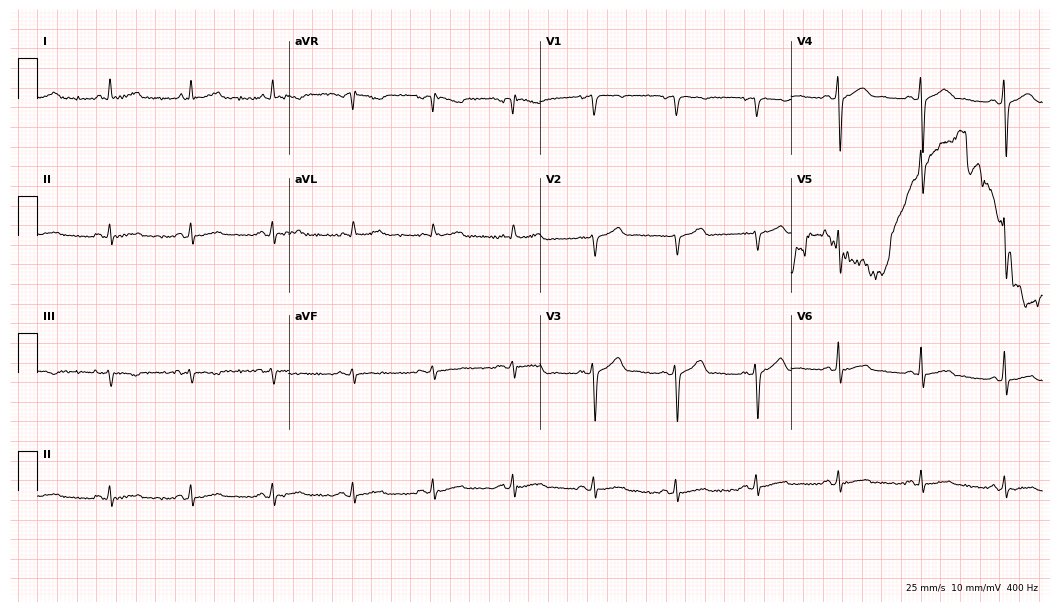
12-lead ECG from a 60-year-old male. Labelled as a normal ECG.